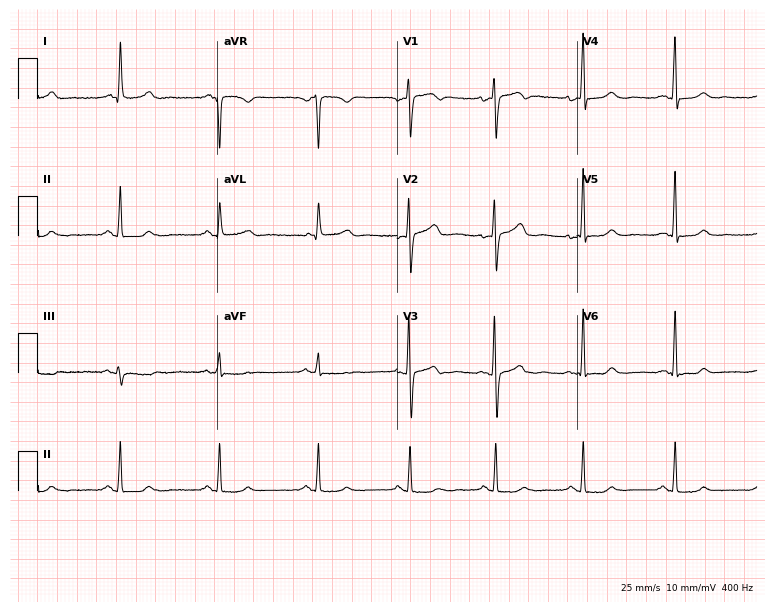
ECG (7.3-second recording at 400 Hz) — a female, 33 years old. Labelled as a normal ECG.